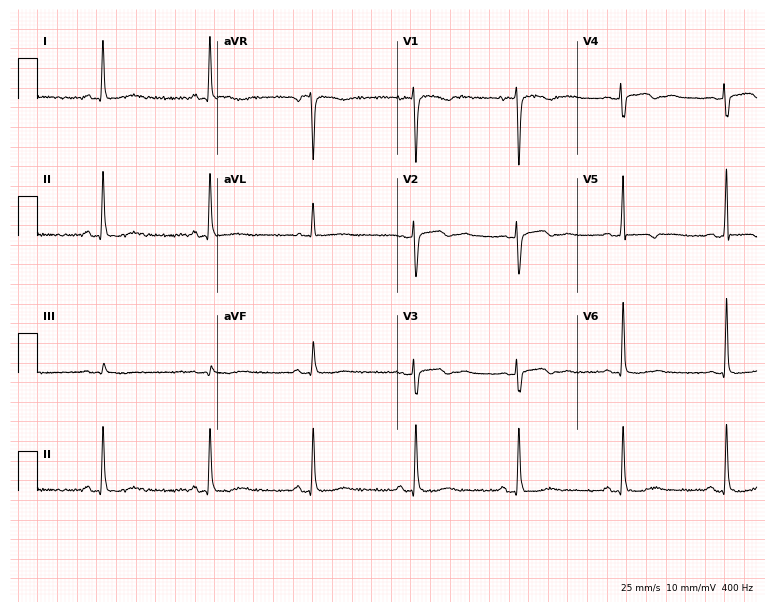
Resting 12-lead electrocardiogram (7.3-second recording at 400 Hz). Patient: a 55-year-old male. None of these six findings is recorded: first-degree AV block, right bundle branch block, left bundle branch block, sinus bradycardia, atrial fibrillation, sinus tachycardia. Findings outside these six are not listed.